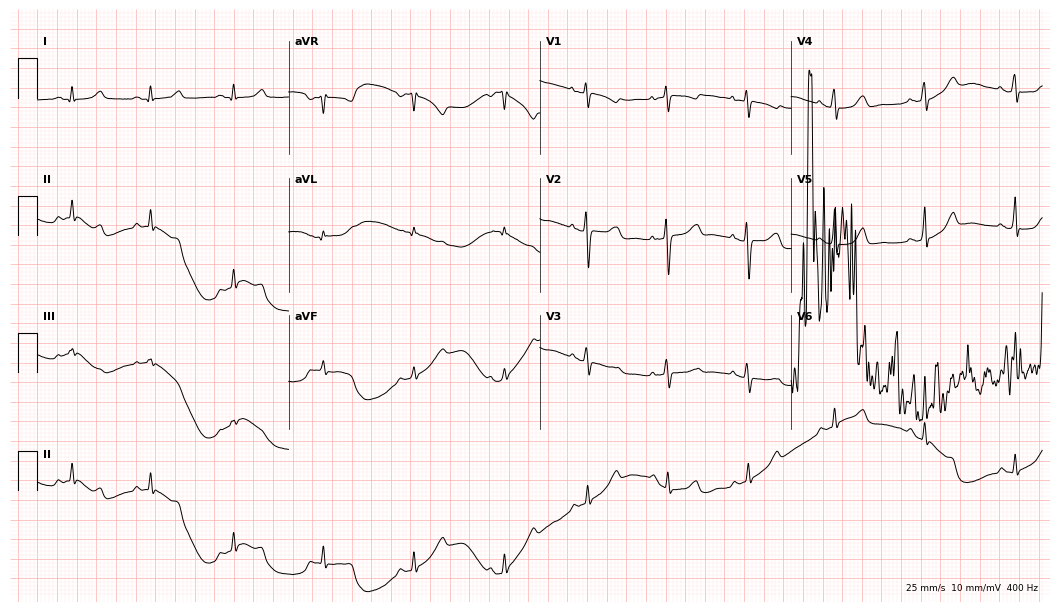
Electrocardiogram (10.2-second recording at 400 Hz), a 44-year-old woman. Of the six screened findings (first-degree AV block, right bundle branch block (RBBB), left bundle branch block (LBBB), sinus bradycardia, atrial fibrillation (AF), sinus tachycardia), none is recorded. Findings outside these six are not listed.